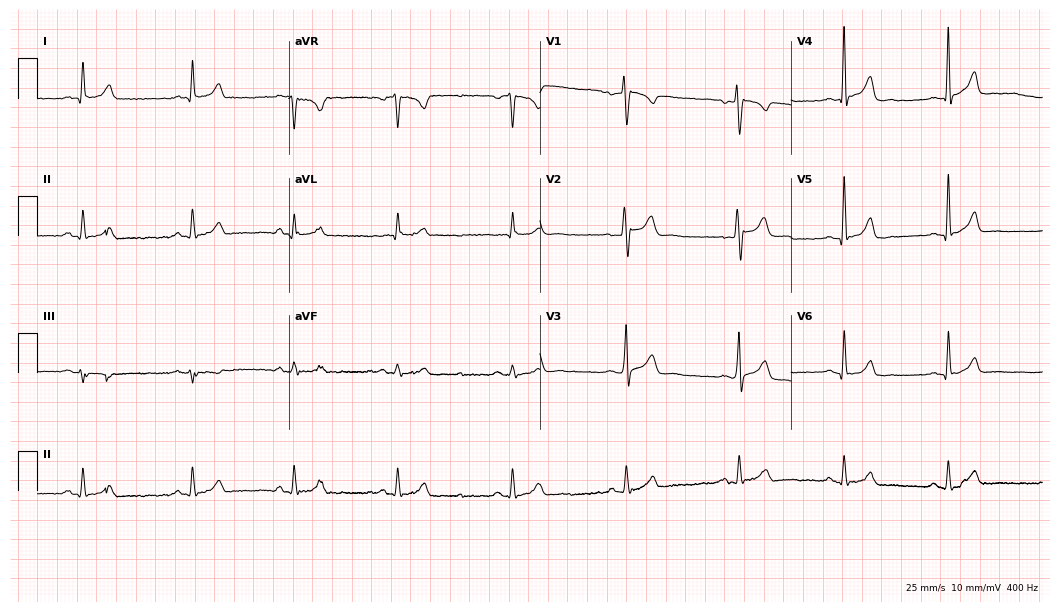
ECG — a male, 43 years old. Screened for six findings — first-degree AV block, right bundle branch block (RBBB), left bundle branch block (LBBB), sinus bradycardia, atrial fibrillation (AF), sinus tachycardia — none is recorded.